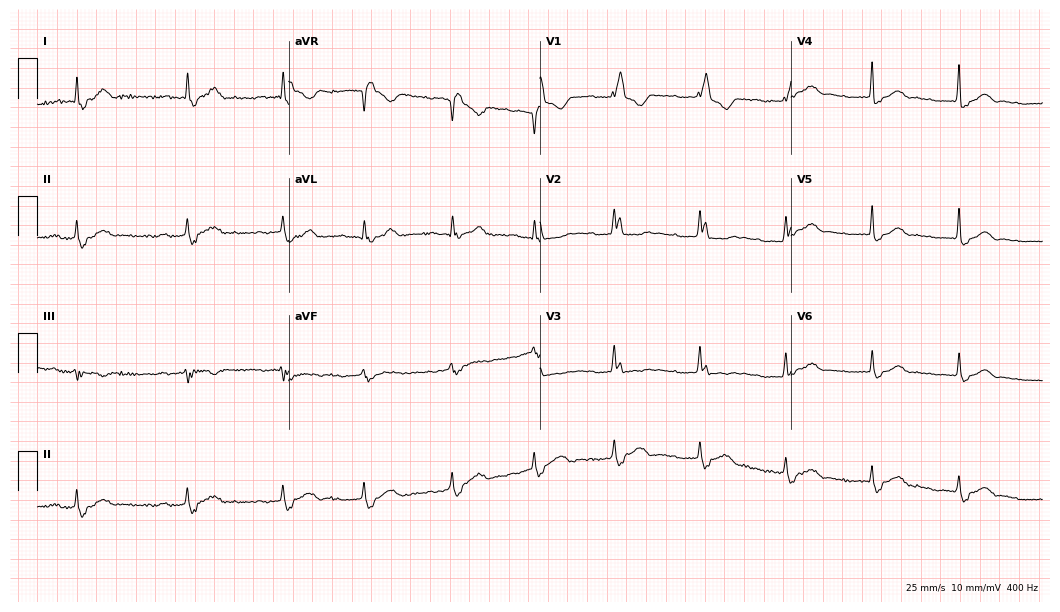
Electrocardiogram, a 75-year-old female. Interpretation includes right bundle branch block.